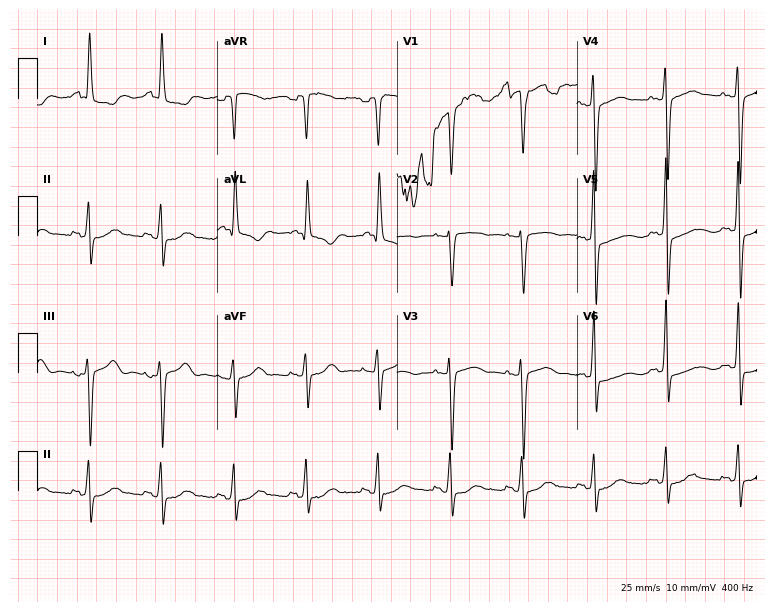
Resting 12-lead electrocardiogram. Patient: a woman, 83 years old. None of these six findings is recorded: first-degree AV block, right bundle branch block (RBBB), left bundle branch block (LBBB), sinus bradycardia, atrial fibrillation (AF), sinus tachycardia. Findings outside these six are not listed.